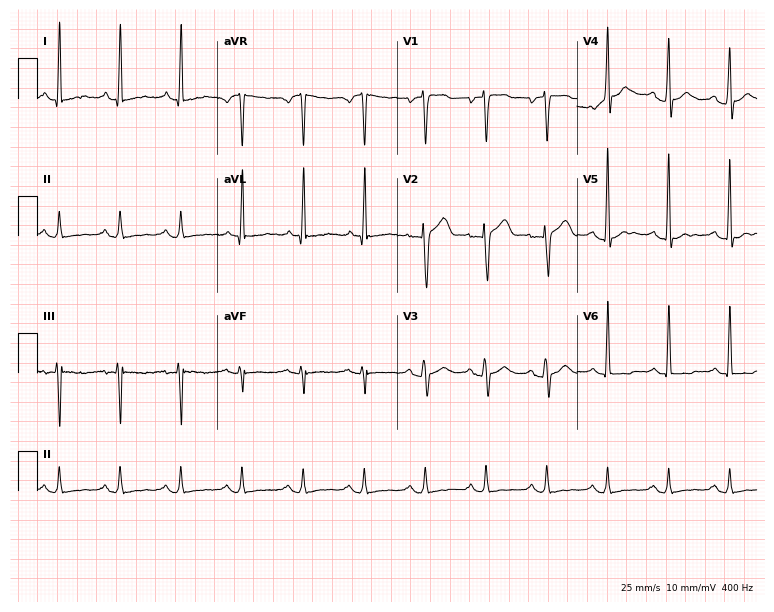
12-lead ECG from a 44-year-old woman. Screened for six findings — first-degree AV block, right bundle branch block, left bundle branch block, sinus bradycardia, atrial fibrillation, sinus tachycardia — none is recorded.